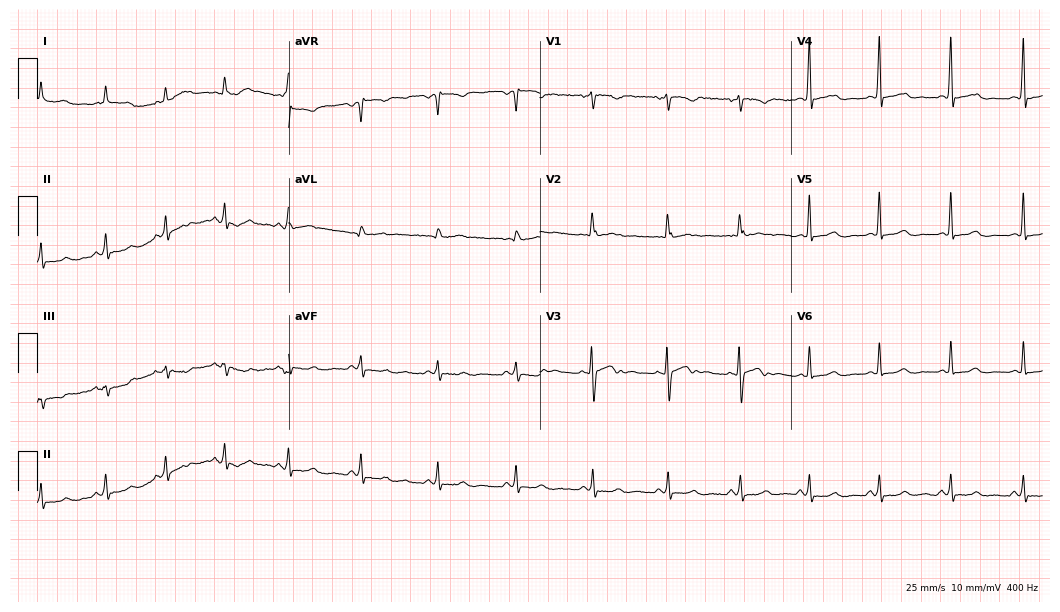
Electrocardiogram (10.2-second recording at 400 Hz), a 29-year-old female patient. Of the six screened findings (first-degree AV block, right bundle branch block, left bundle branch block, sinus bradycardia, atrial fibrillation, sinus tachycardia), none is recorded.